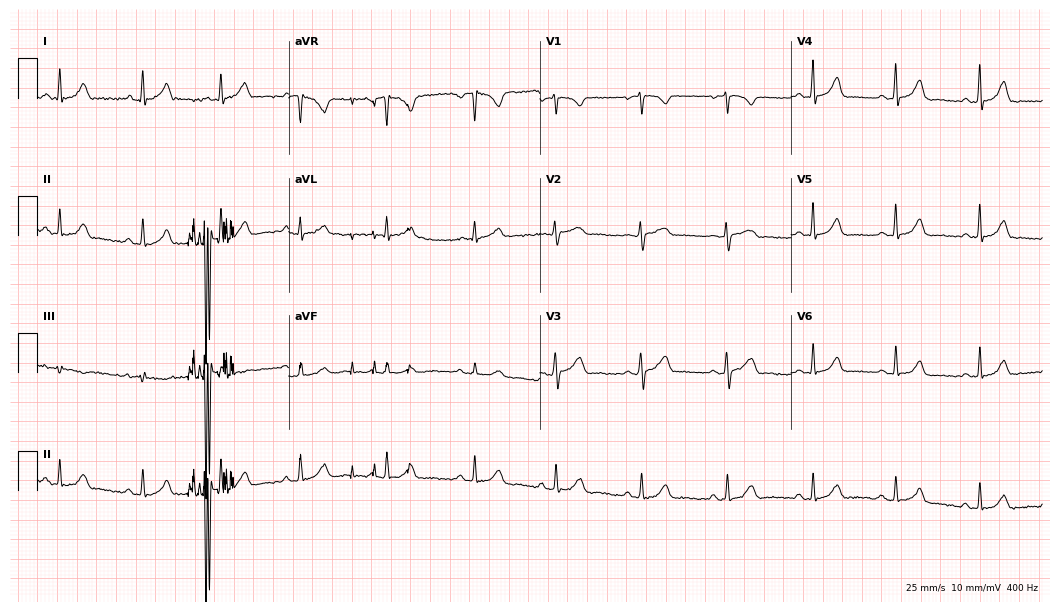
Resting 12-lead electrocardiogram (10.2-second recording at 400 Hz). Patient: a woman, 36 years old. Read as a normal ECG.